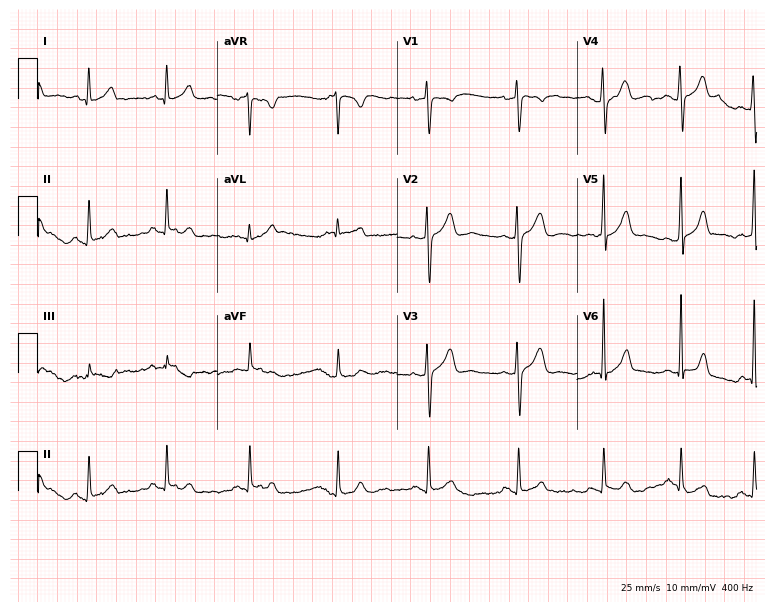
Standard 12-lead ECG recorded from a female patient, 23 years old. None of these six findings is recorded: first-degree AV block, right bundle branch block (RBBB), left bundle branch block (LBBB), sinus bradycardia, atrial fibrillation (AF), sinus tachycardia.